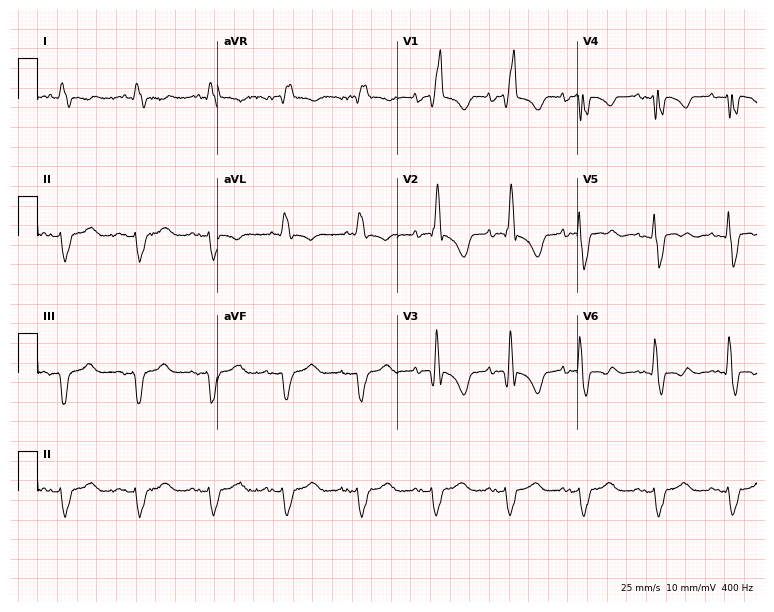
ECG — a male, 72 years old. Findings include right bundle branch block (RBBB).